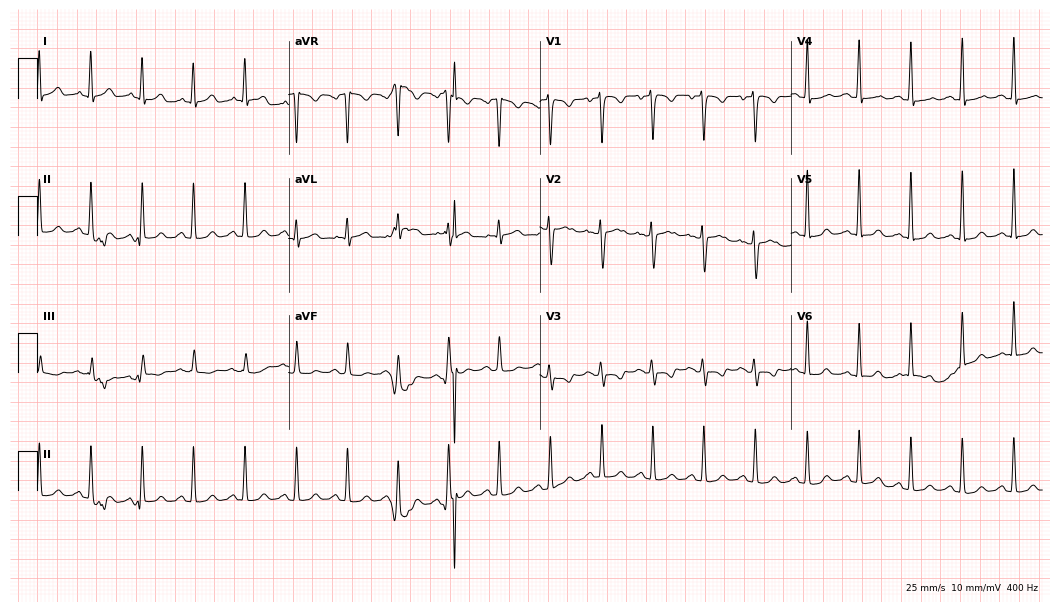
ECG — a 29-year-old female patient. Findings include sinus tachycardia (a sinus rate of 100 beats per minute or more).